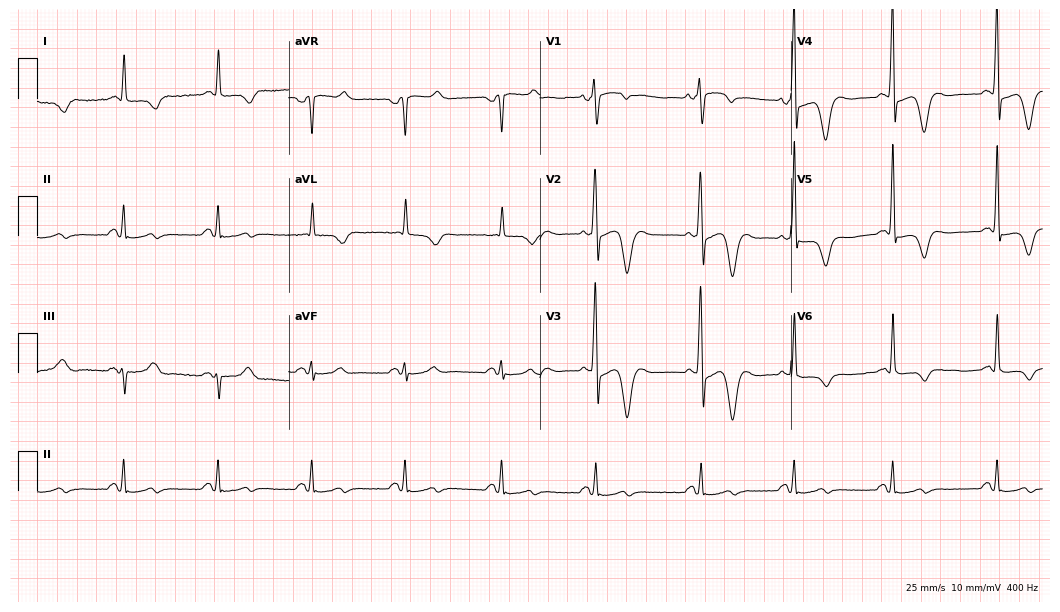
12-lead ECG from a male, 81 years old (10.2-second recording at 400 Hz). No first-degree AV block, right bundle branch block (RBBB), left bundle branch block (LBBB), sinus bradycardia, atrial fibrillation (AF) or sinus tachycardia recorded for this tracing.